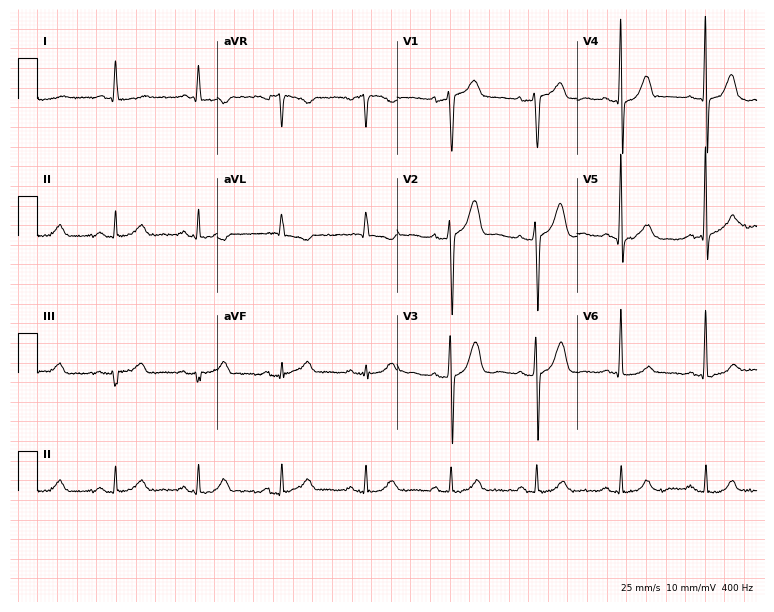
Resting 12-lead electrocardiogram. Patient: a 53-year-old man. None of these six findings is recorded: first-degree AV block, right bundle branch block, left bundle branch block, sinus bradycardia, atrial fibrillation, sinus tachycardia.